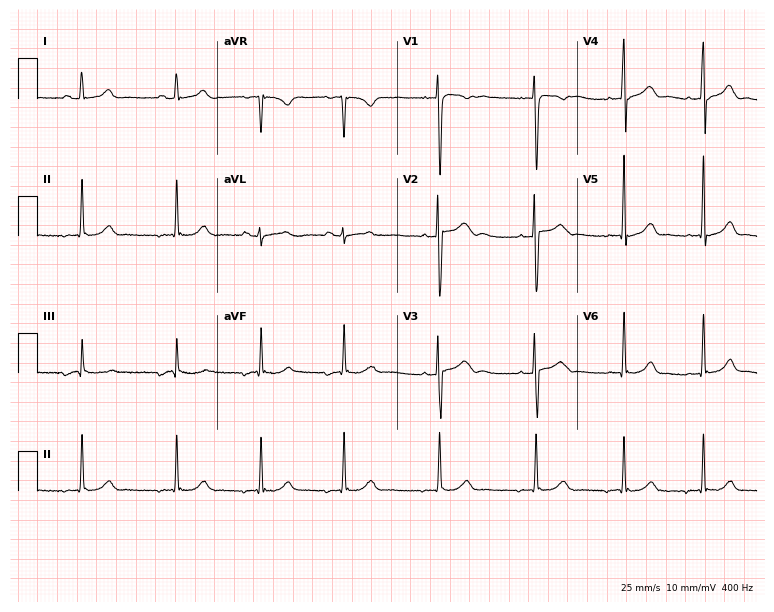
12-lead ECG from a woman, 19 years old (7.3-second recording at 400 Hz). No first-degree AV block, right bundle branch block (RBBB), left bundle branch block (LBBB), sinus bradycardia, atrial fibrillation (AF) or sinus tachycardia recorded for this tracing.